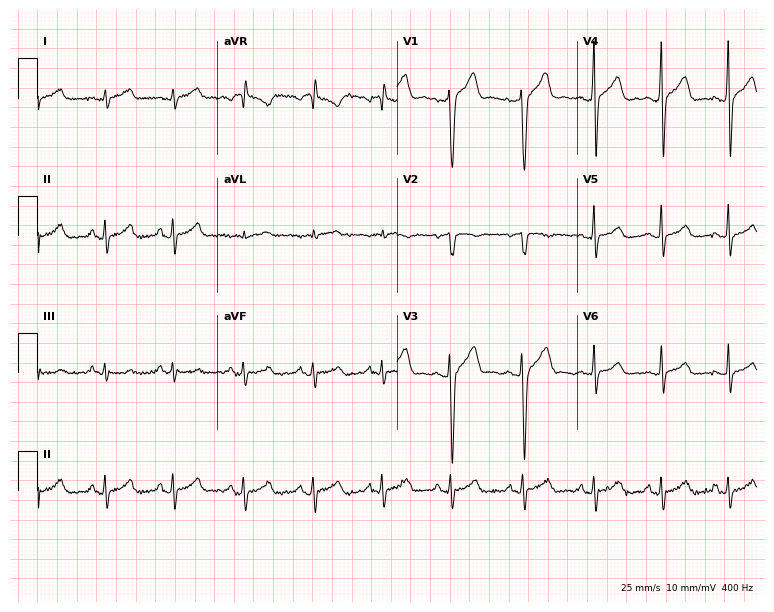
12-lead ECG from a male patient, 35 years old. No first-degree AV block, right bundle branch block, left bundle branch block, sinus bradycardia, atrial fibrillation or sinus tachycardia recorded for this tracing.